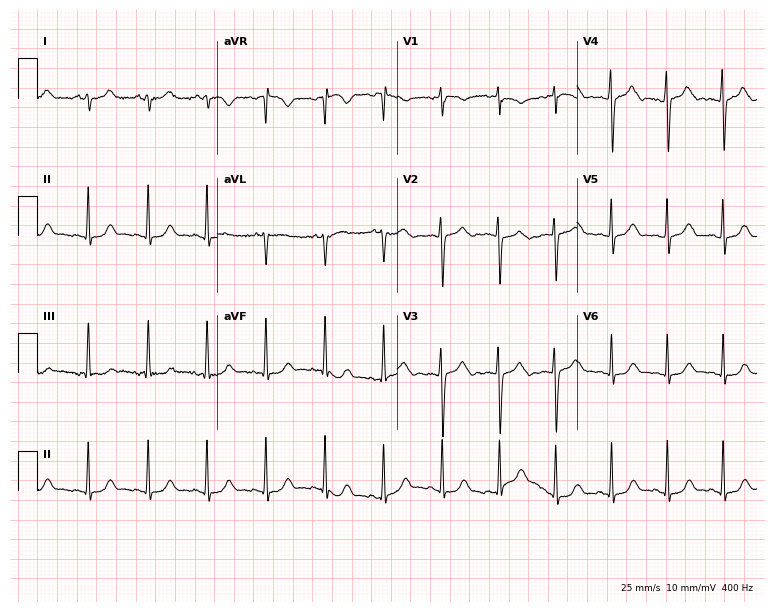
12-lead ECG from a 30-year-old female. Findings include sinus tachycardia (a sinus rate of 100 beats per minute or more).